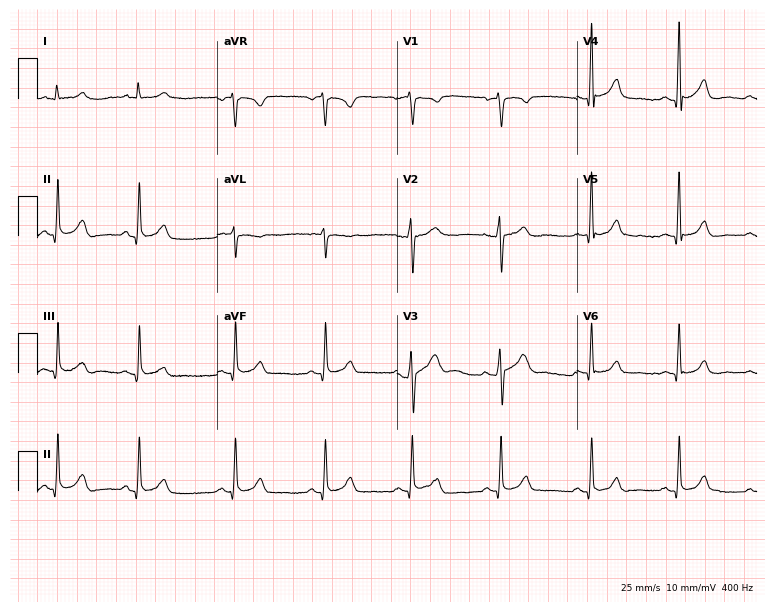
ECG — a 39-year-old man. Screened for six findings — first-degree AV block, right bundle branch block, left bundle branch block, sinus bradycardia, atrial fibrillation, sinus tachycardia — none is recorded. Other findings, if any, are not listed.